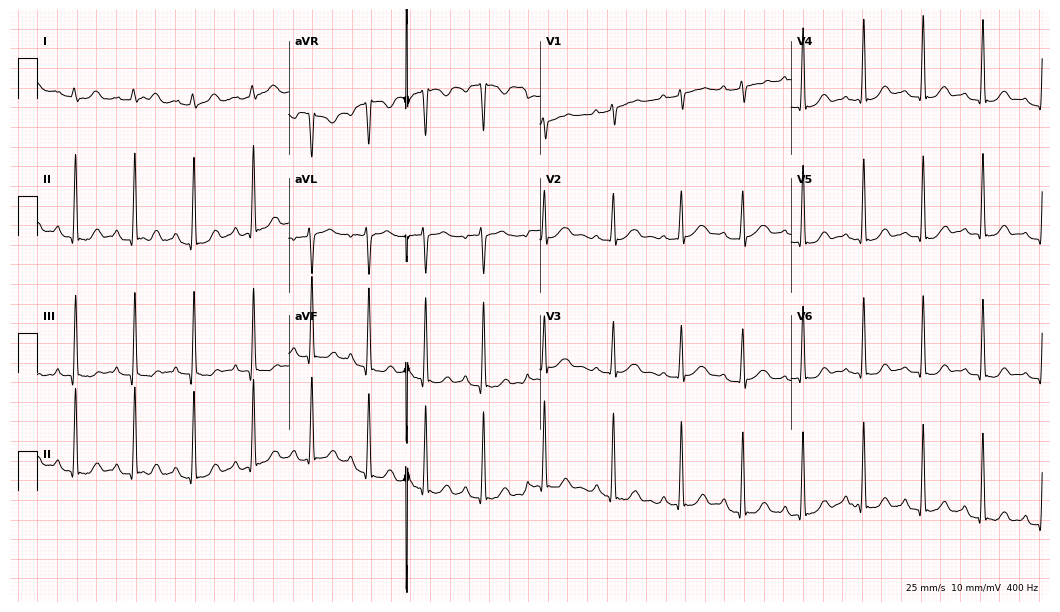
Standard 12-lead ECG recorded from a 24-year-old female. Read as a normal ECG.